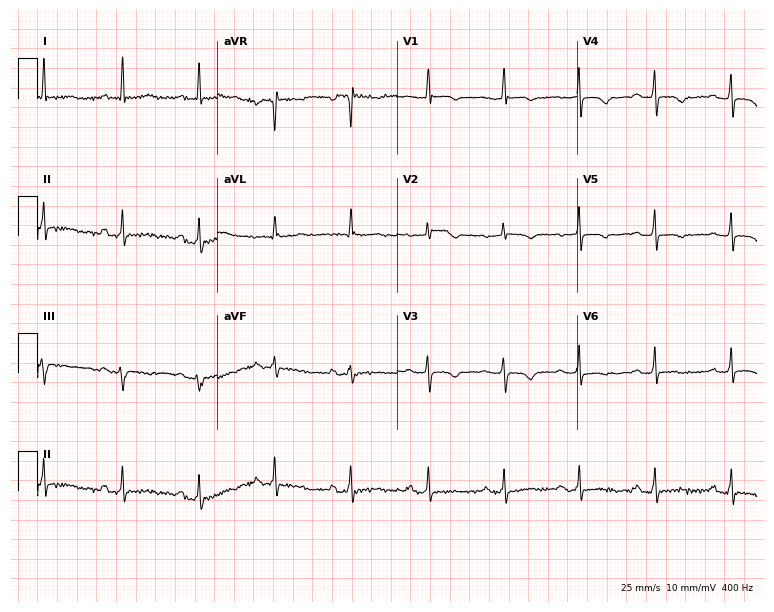
12-lead ECG from a female patient, 53 years old. Screened for six findings — first-degree AV block, right bundle branch block, left bundle branch block, sinus bradycardia, atrial fibrillation, sinus tachycardia — none is recorded.